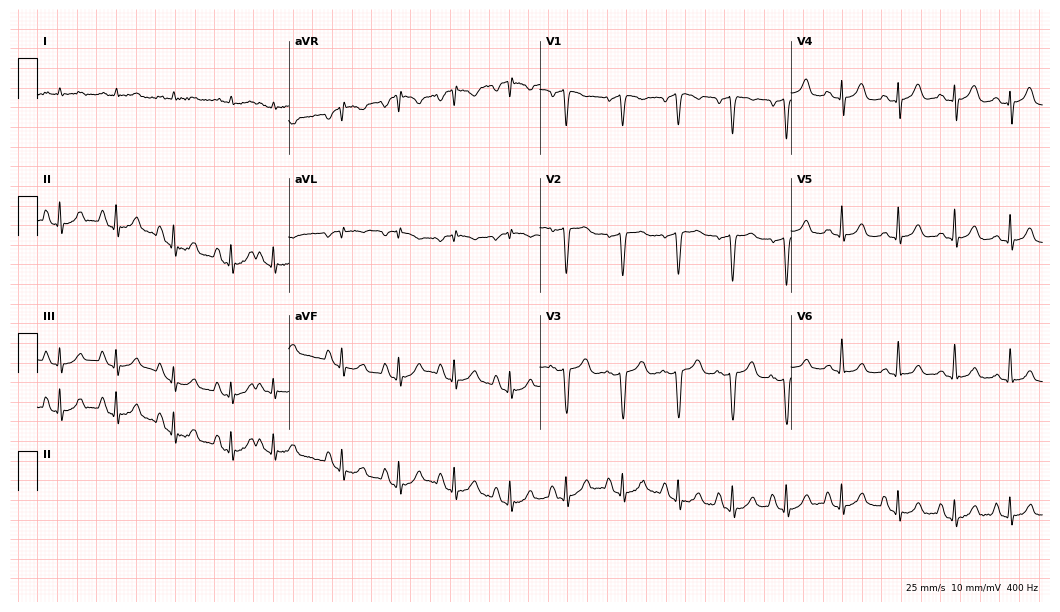
Resting 12-lead electrocardiogram (10.2-second recording at 400 Hz). Patient: a 72-year-old male. The tracing shows sinus tachycardia (a sinus rate of 100 beats per minute or more).